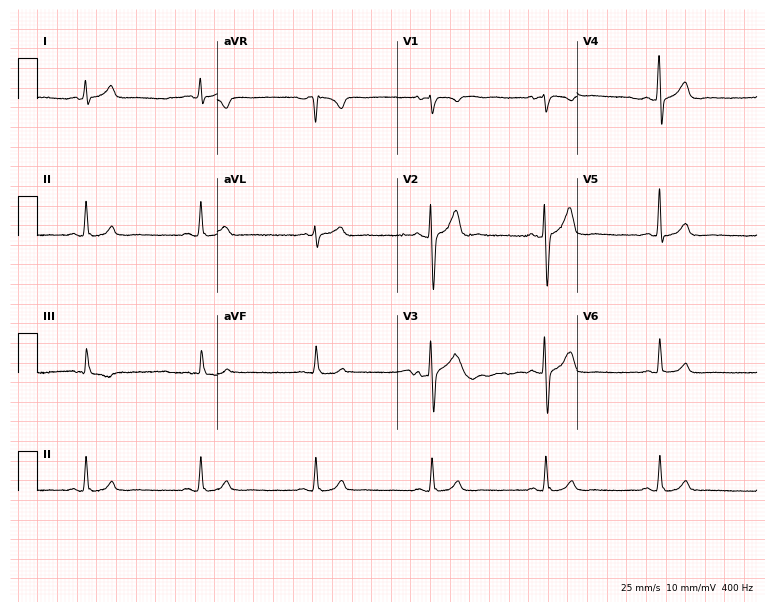
Resting 12-lead electrocardiogram (7.3-second recording at 400 Hz). Patient: a 49-year-old male. Read as a normal ECG.